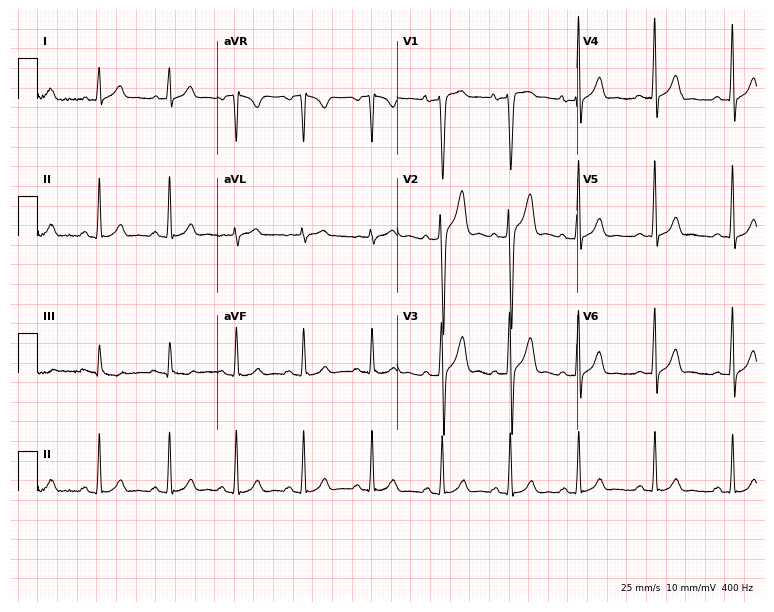
12-lead ECG from a 22-year-old male. Recorded interpretation: within normal limits.